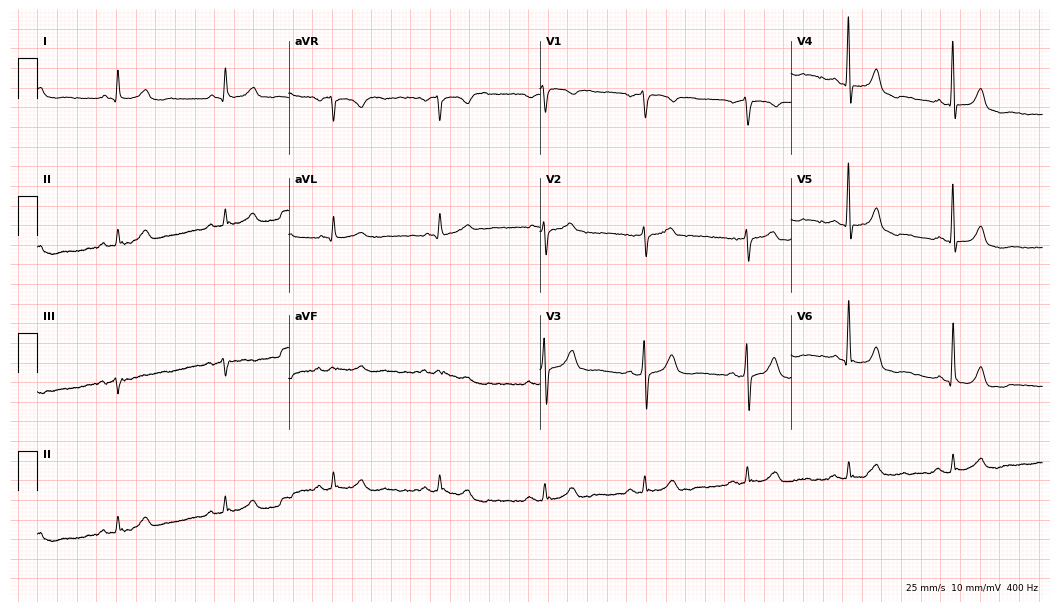
12-lead ECG (10.2-second recording at 400 Hz) from a male patient, 70 years old. Labelled as a normal ECG.